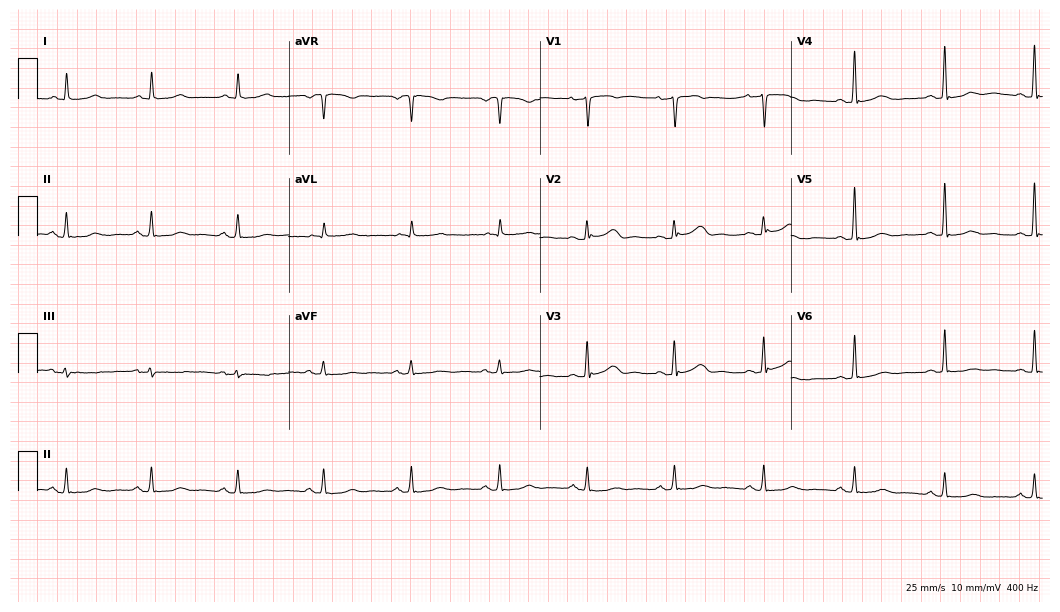
ECG — a female, 52 years old. Screened for six findings — first-degree AV block, right bundle branch block (RBBB), left bundle branch block (LBBB), sinus bradycardia, atrial fibrillation (AF), sinus tachycardia — none is recorded. Findings outside these six are not listed.